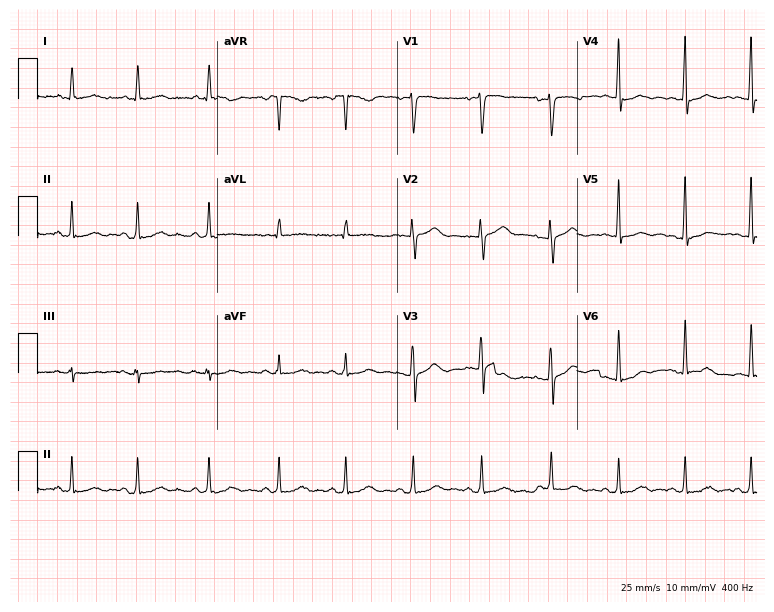
12-lead ECG (7.3-second recording at 400 Hz) from a woman, 44 years old. Screened for six findings — first-degree AV block, right bundle branch block, left bundle branch block, sinus bradycardia, atrial fibrillation, sinus tachycardia — none is recorded.